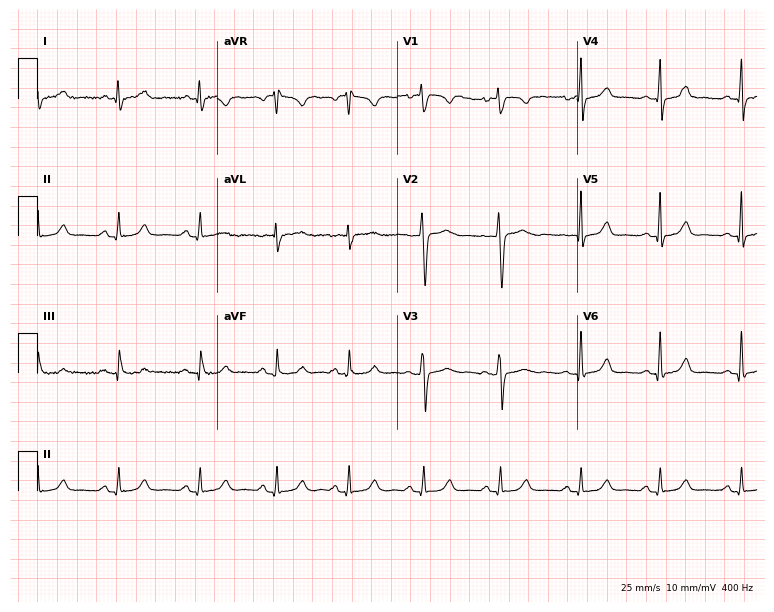
Standard 12-lead ECG recorded from a female, 38 years old. Read as a normal ECG.